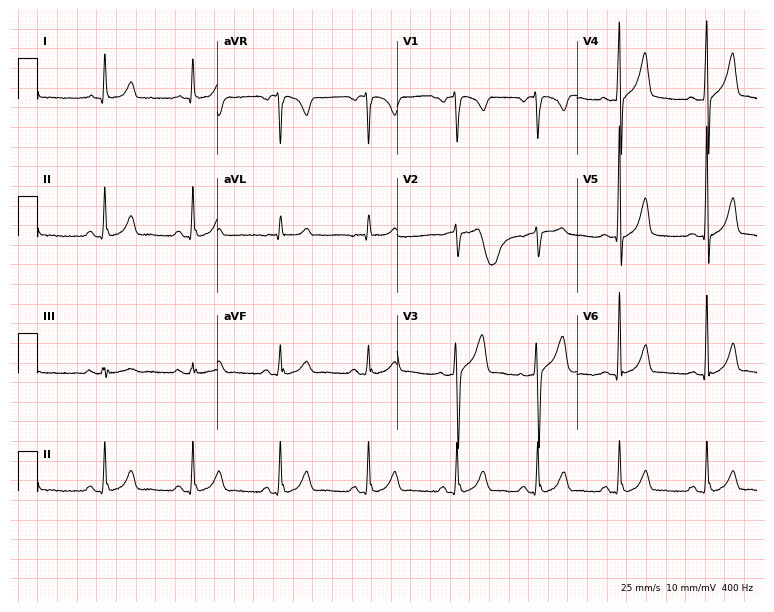
12-lead ECG from a 41-year-old man. Labelled as a normal ECG.